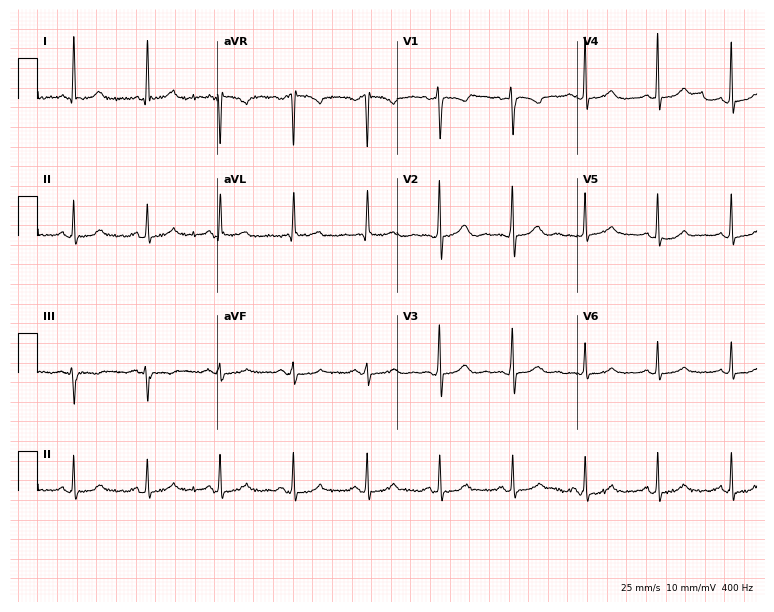
12-lead ECG from a 60-year-old female patient. Recorded interpretation: within normal limits.